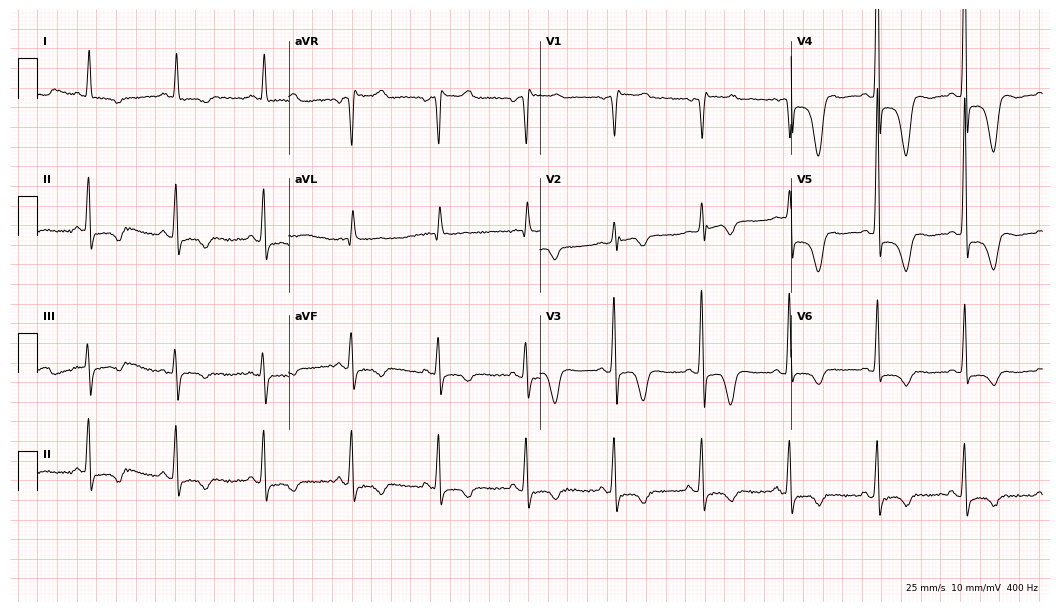
ECG (10.2-second recording at 400 Hz) — a woman, 69 years old. Screened for six findings — first-degree AV block, right bundle branch block (RBBB), left bundle branch block (LBBB), sinus bradycardia, atrial fibrillation (AF), sinus tachycardia — none is recorded.